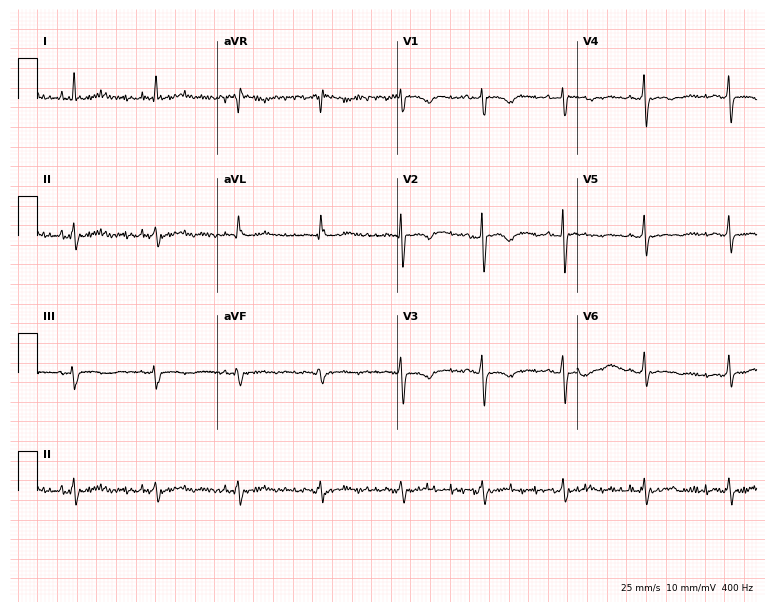
Standard 12-lead ECG recorded from a female patient, 35 years old (7.3-second recording at 400 Hz). None of these six findings is recorded: first-degree AV block, right bundle branch block, left bundle branch block, sinus bradycardia, atrial fibrillation, sinus tachycardia. Other findings, if any, are not listed.